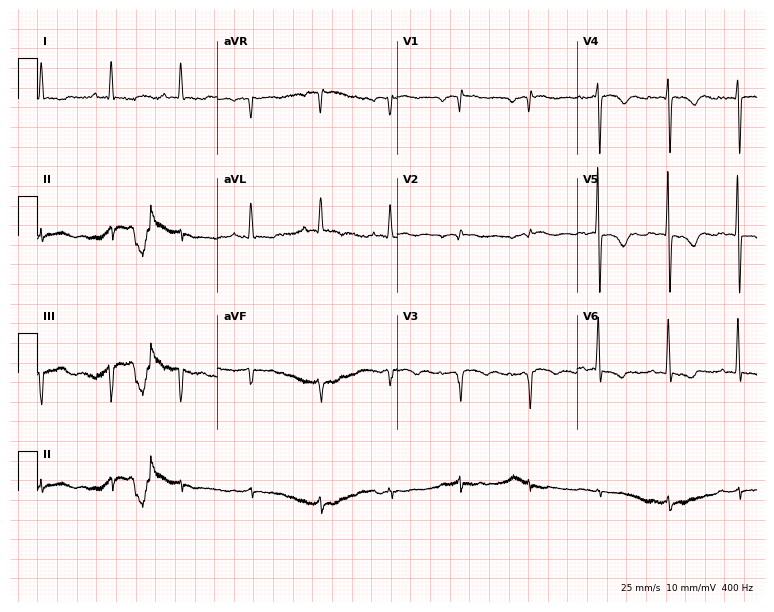
ECG (7.3-second recording at 400 Hz) — a man, 49 years old. Screened for six findings — first-degree AV block, right bundle branch block, left bundle branch block, sinus bradycardia, atrial fibrillation, sinus tachycardia — none is recorded. Other findings, if any, are not listed.